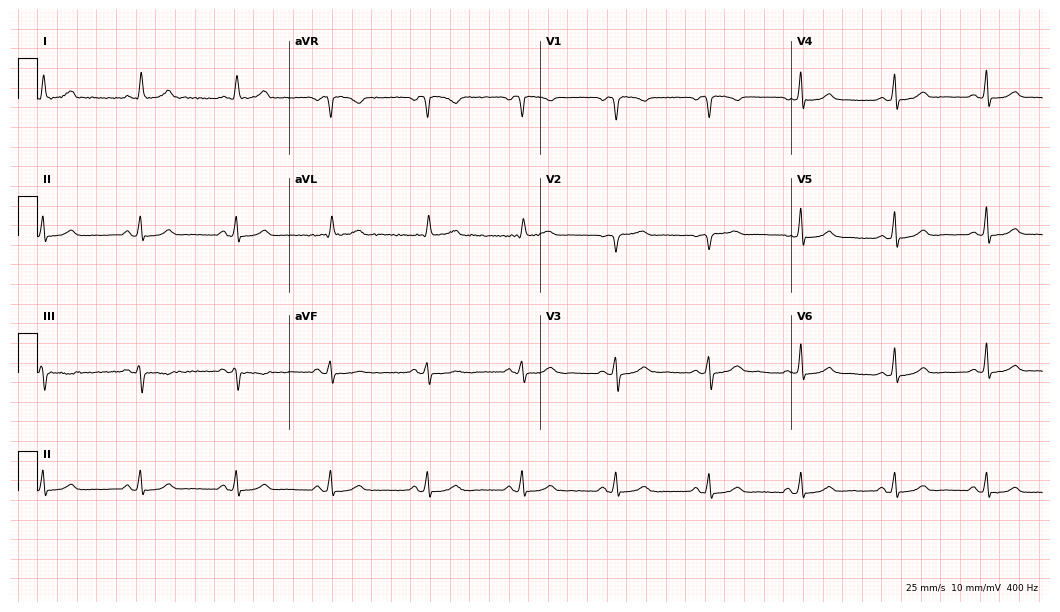
12-lead ECG from a woman, 46 years old. Recorded interpretation: within normal limits.